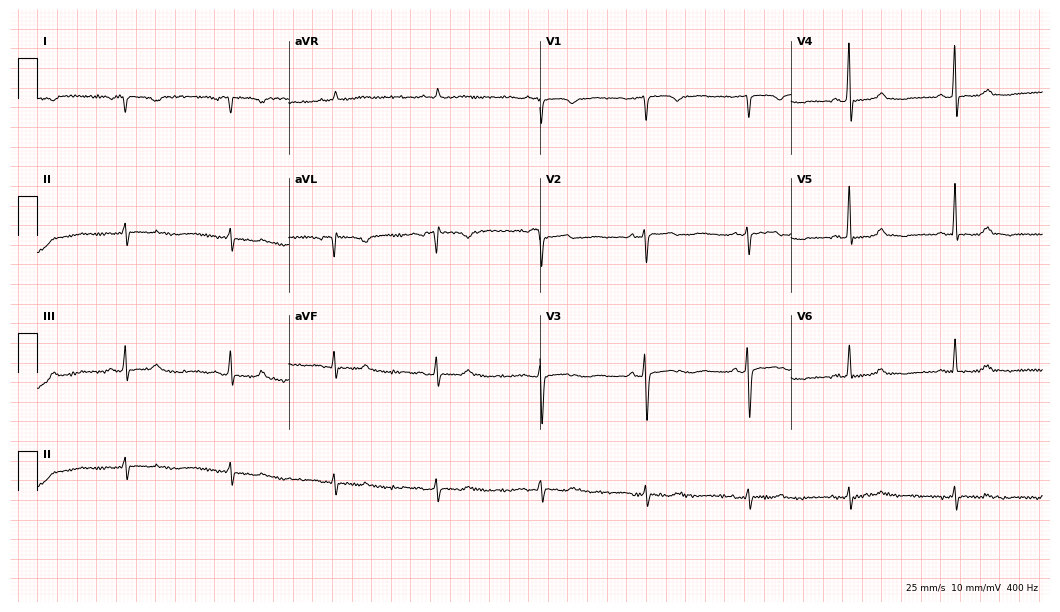
Resting 12-lead electrocardiogram. Patient: a 58-year-old woman. None of these six findings is recorded: first-degree AV block, right bundle branch block, left bundle branch block, sinus bradycardia, atrial fibrillation, sinus tachycardia.